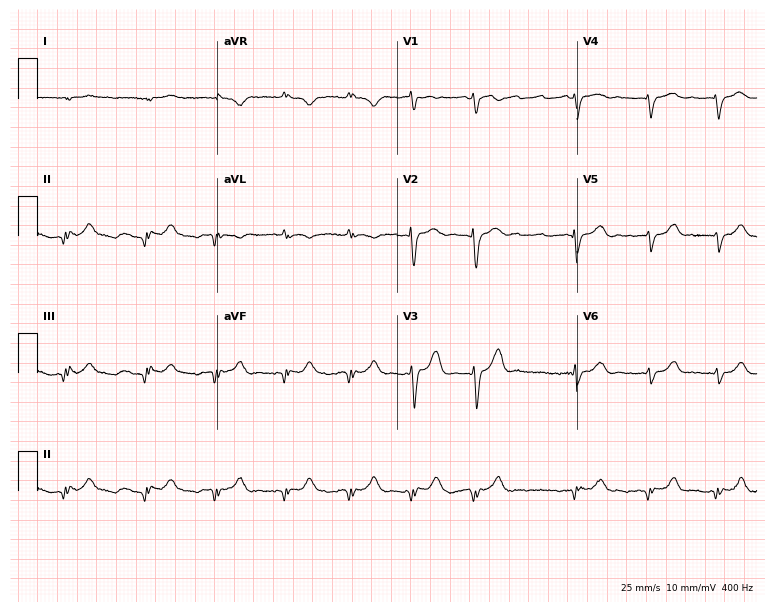
12-lead ECG from a female, 77 years old. No first-degree AV block, right bundle branch block, left bundle branch block, sinus bradycardia, atrial fibrillation or sinus tachycardia recorded for this tracing. Findings outside these six are not listed.